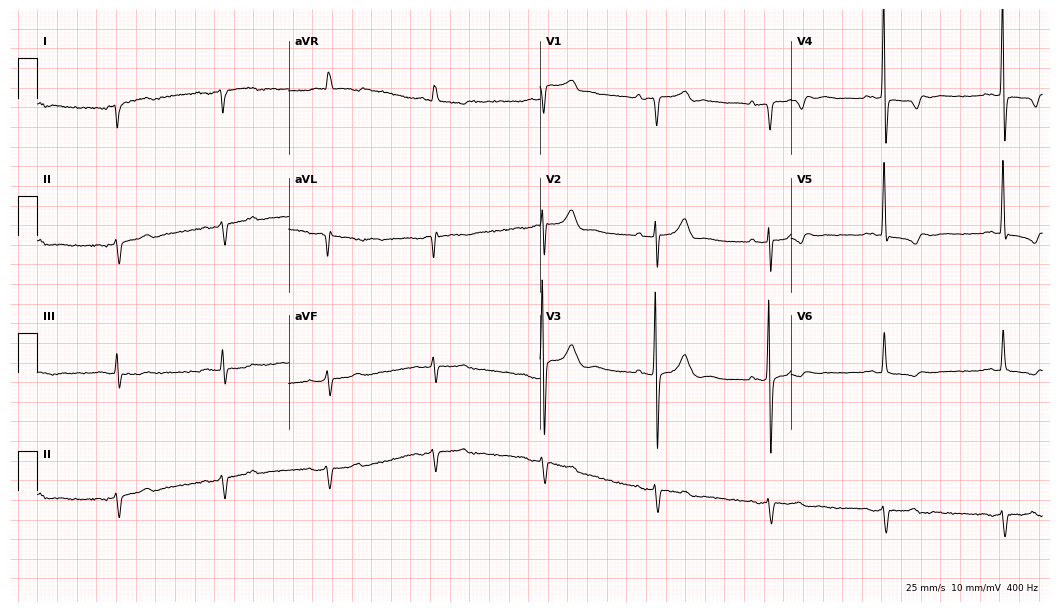
Electrocardiogram (10.2-second recording at 400 Hz), a male patient, 73 years old. Of the six screened findings (first-degree AV block, right bundle branch block, left bundle branch block, sinus bradycardia, atrial fibrillation, sinus tachycardia), none is recorded. Findings outside these six are not listed.